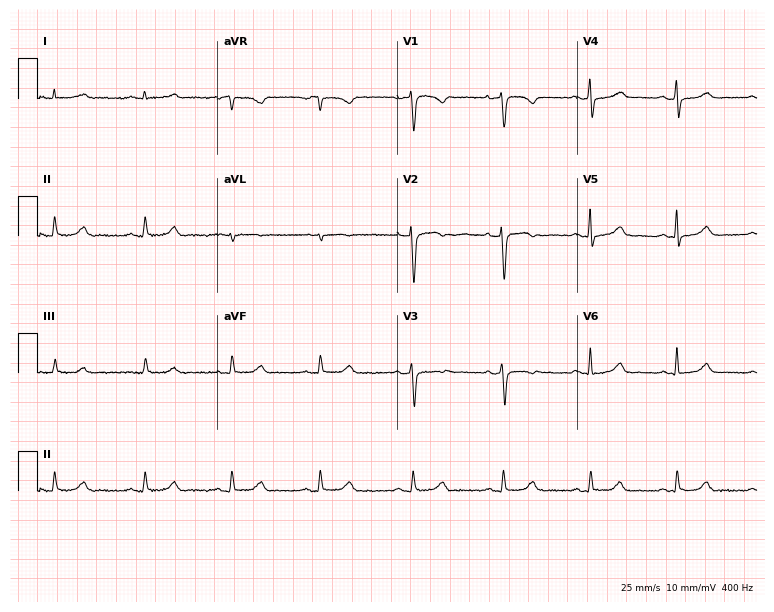
12-lead ECG (7.3-second recording at 400 Hz) from a woman, 44 years old. Labelled as a normal ECG.